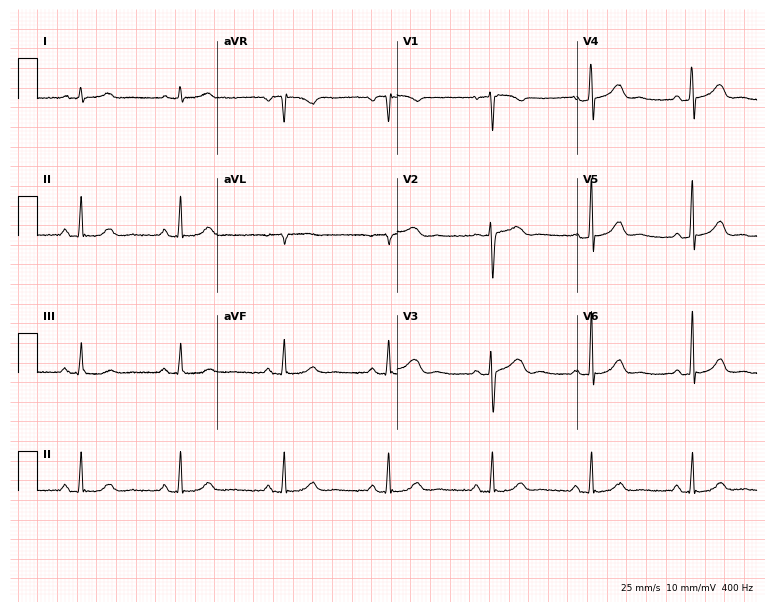
12-lead ECG from a 42-year-old woman. Labelled as a normal ECG.